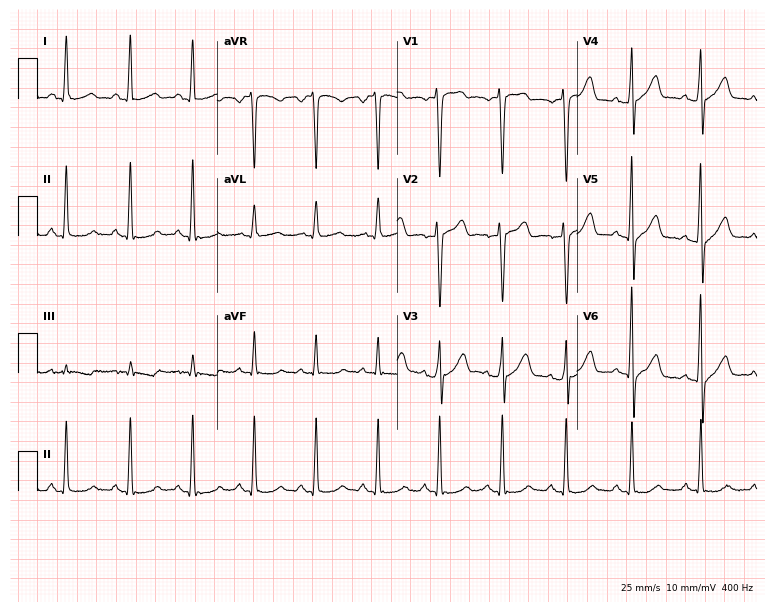
Standard 12-lead ECG recorded from a 44-year-old man. None of these six findings is recorded: first-degree AV block, right bundle branch block (RBBB), left bundle branch block (LBBB), sinus bradycardia, atrial fibrillation (AF), sinus tachycardia. Only these six findings were labelled.